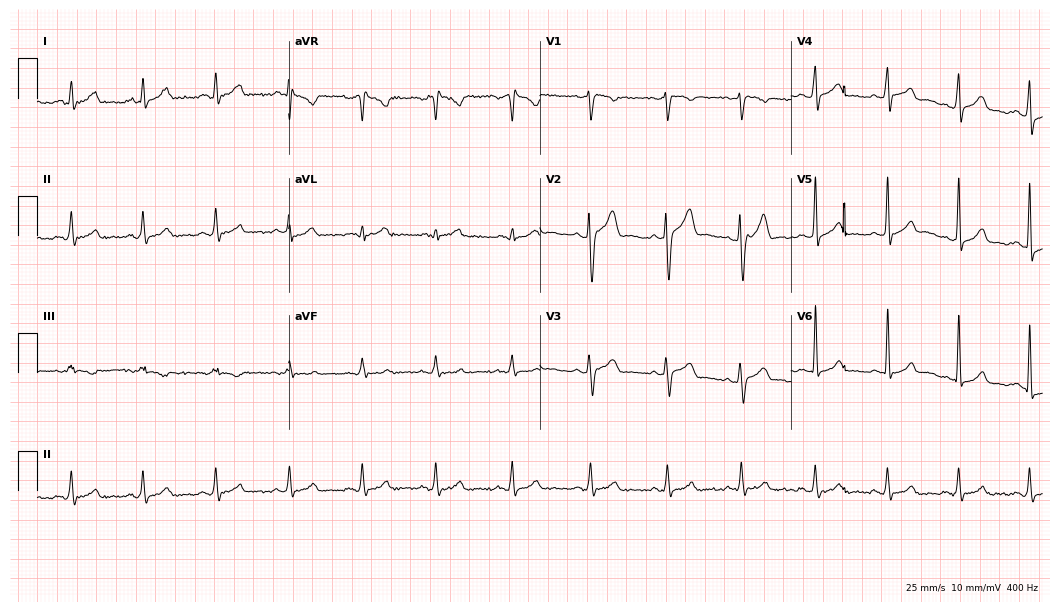
12-lead ECG (10.2-second recording at 400 Hz) from a male, 28 years old. Labelled as a normal ECG.